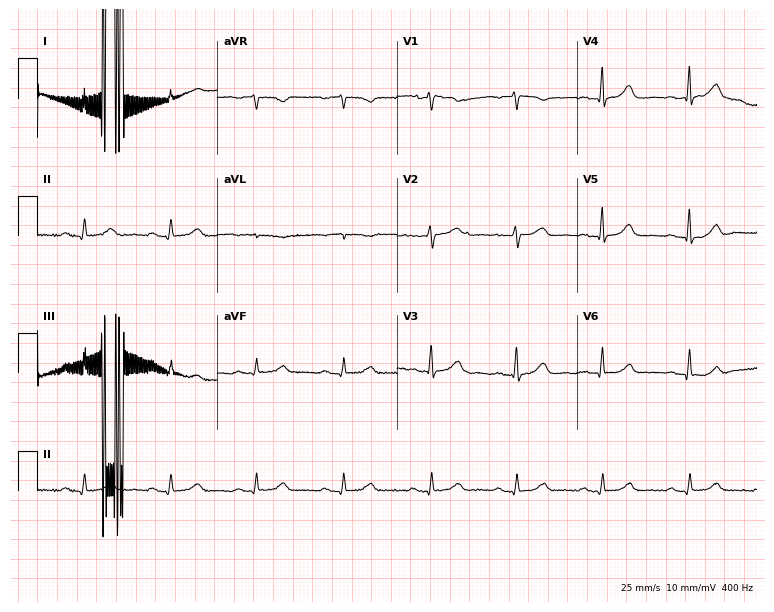
ECG (7.3-second recording at 400 Hz) — a male patient, 68 years old. Screened for six findings — first-degree AV block, right bundle branch block, left bundle branch block, sinus bradycardia, atrial fibrillation, sinus tachycardia — none is recorded. Findings outside these six are not listed.